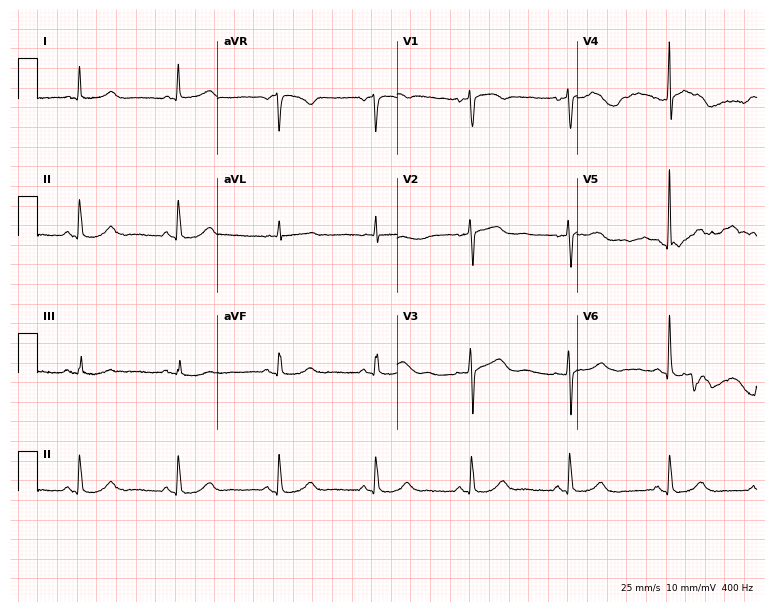
12-lead ECG from a 66-year-old female (7.3-second recording at 400 Hz). Recorded interpretation: within normal limits.